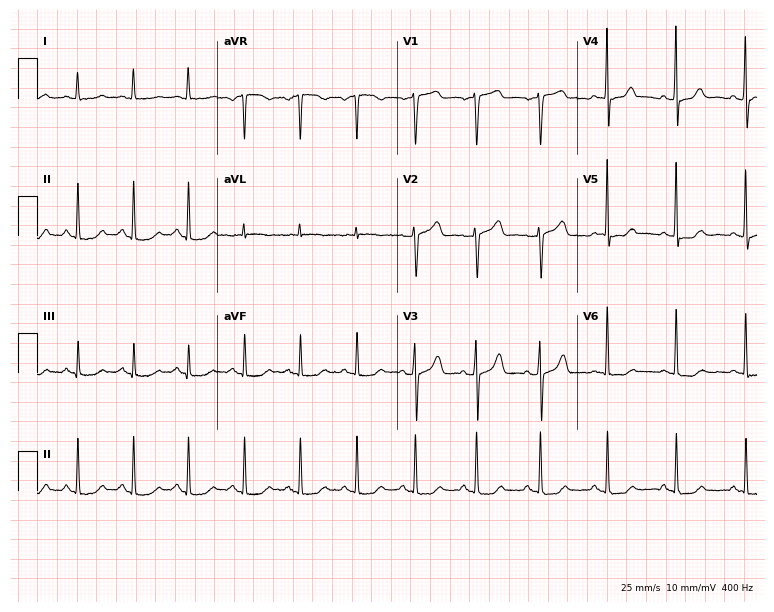
Electrocardiogram, a 48-year-old female patient. Of the six screened findings (first-degree AV block, right bundle branch block, left bundle branch block, sinus bradycardia, atrial fibrillation, sinus tachycardia), none is recorded. Findings outside these six are not listed.